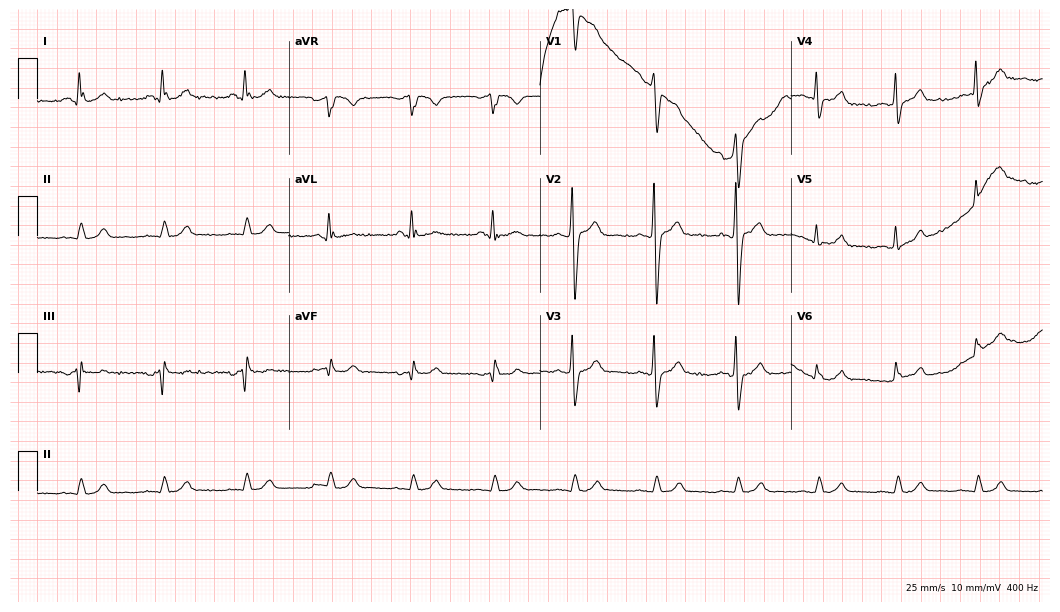
Electrocardiogram, a male, 52 years old. Of the six screened findings (first-degree AV block, right bundle branch block (RBBB), left bundle branch block (LBBB), sinus bradycardia, atrial fibrillation (AF), sinus tachycardia), none is recorded. Findings outside these six are not listed.